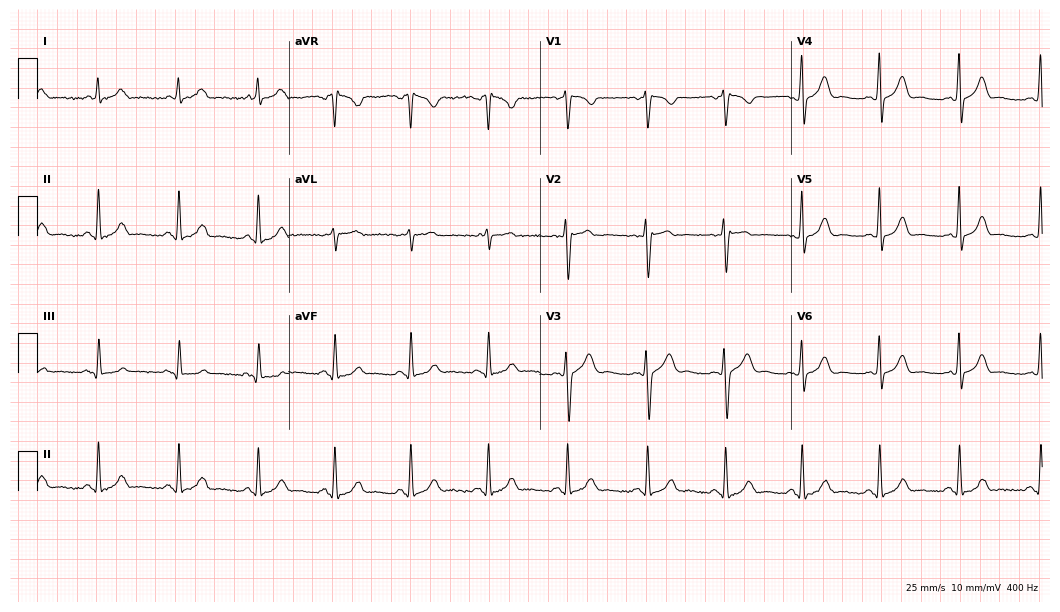
Electrocardiogram (10.2-second recording at 400 Hz), a 29-year-old female patient. Overall reading on record: normal ECG.